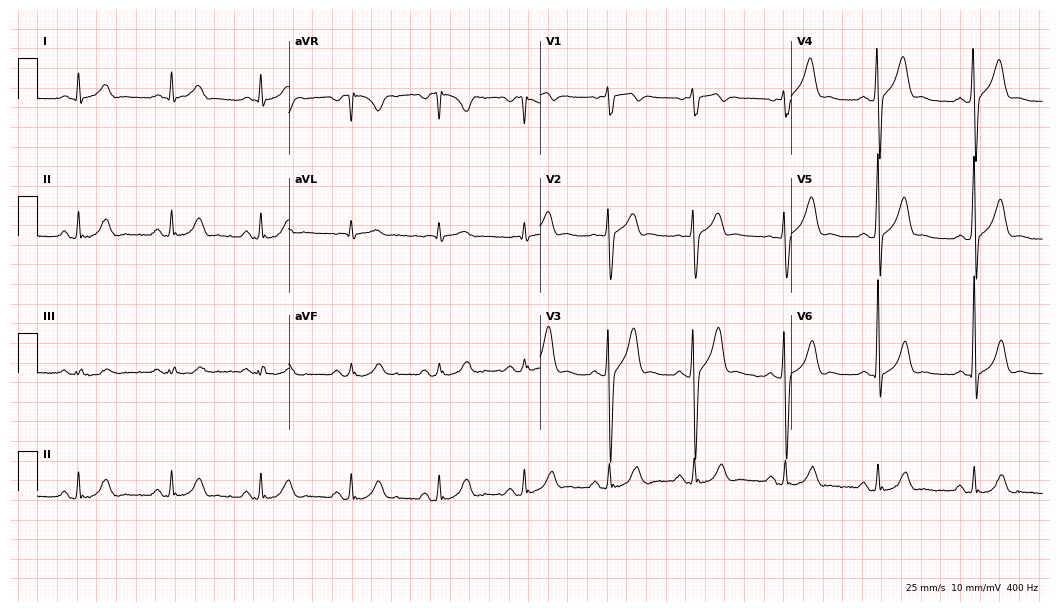
ECG — a 41-year-old male. Labelled as a normal ECG.